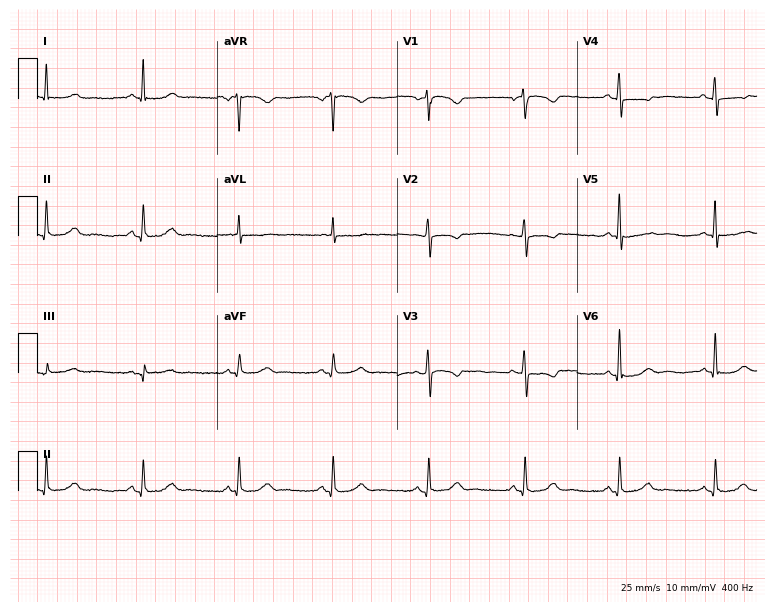
12-lead ECG from a woman, 60 years old. Screened for six findings — first-degree AV block, right bundle branch block (RBBB), left bundle branch block (LBBB), sinus bradycardia, atrial fibrillation (AF), sinus tachycardia — none is recorded.